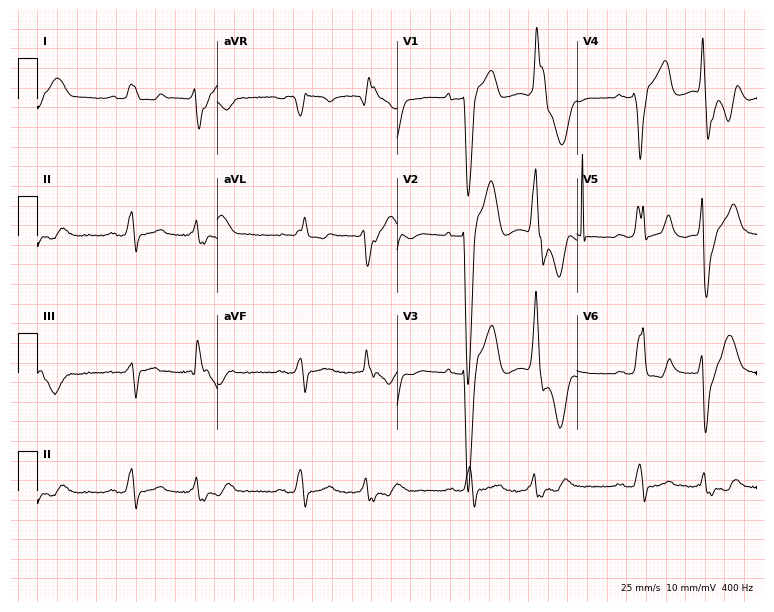
12-lead ECG from a male patient, 77 years old. Findings include left bundle branch block.